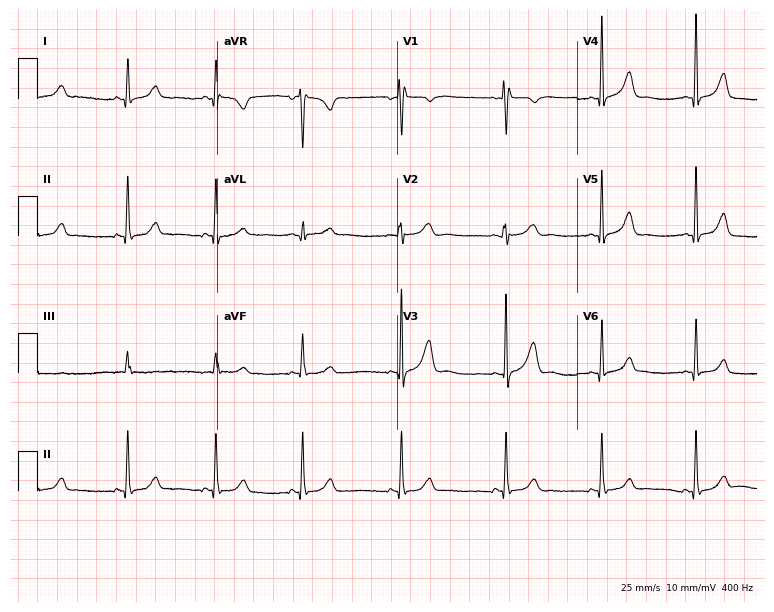
Standard 12-lead ECG recorded from a woman, 33 years old (7.3-second recording at 400 Hz). Read as a normal ECG.